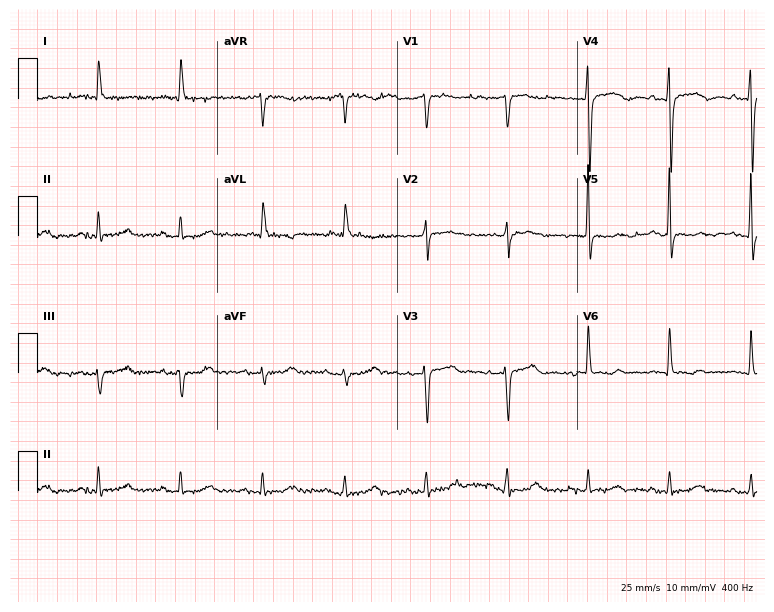
ECG (7.3-second recording at 400 Hz) — a female patient, 81 years old. Screened for six findings — first-degree AV block, right bundle branch block (RBBB), left bundle branch block (LBBB), sinus bradycardia, atrial fibrillation (AF), sinus tachycardia — none is recorded. Findings outside these six are not listed.